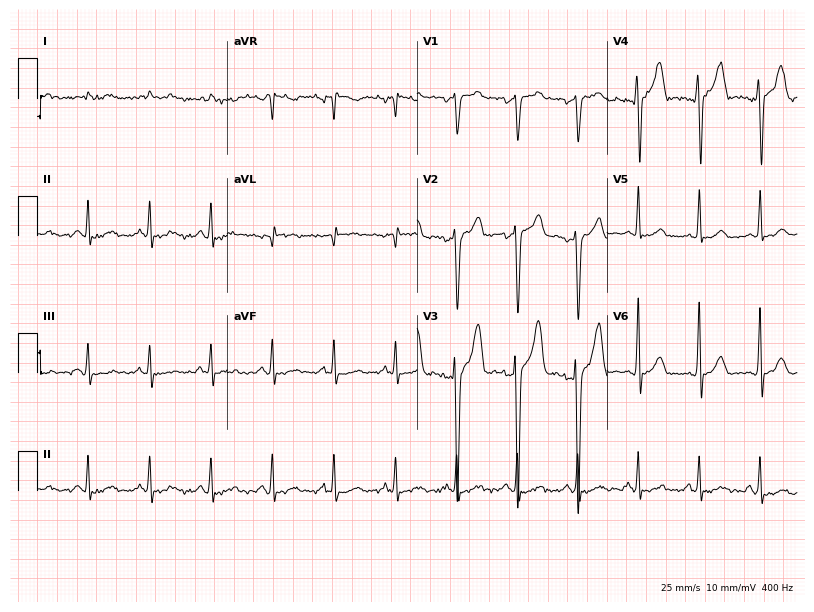
Electrocardiogram (7.7-second recording at 400 Hz), a man, 42 years old. Of the six screened findings (first-degree AV block, right bundle branch block, left bundle branch block, sinus bradycardia, atrial fibrillation, sinus tachycardia), none is recorded.